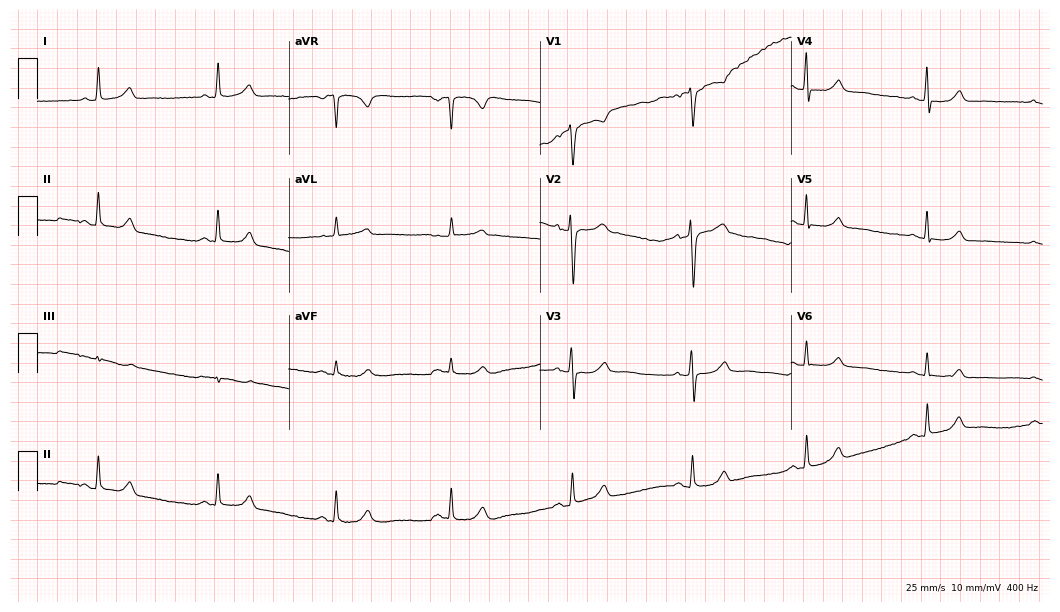
12-lead ECG from a female patient, 64 years old. Screened for six findings — first-degree AV block, right bundle branch block, left bundle branch block, sinus bradycardia, atrial fibrillation, sinus tachycardia — none is recorded.